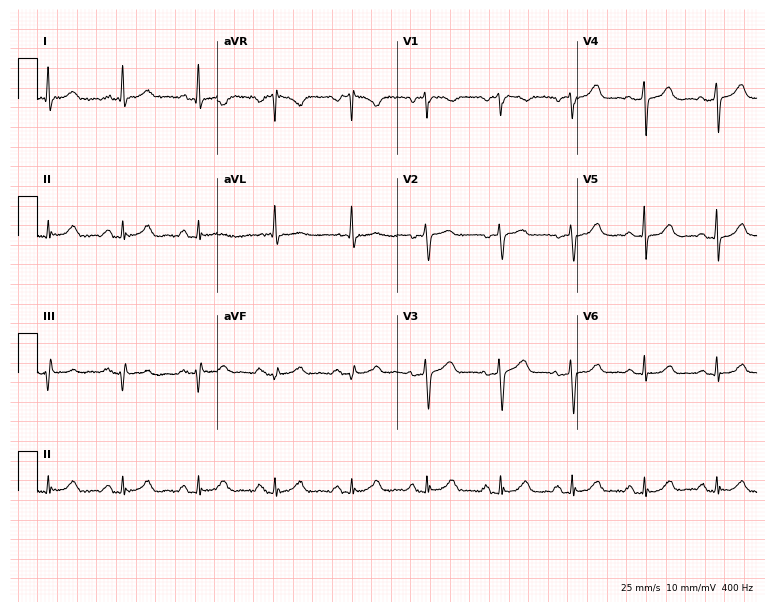
Resting 12-lead electrocardiogram (7.3-second recording at 400 Hz). Patient: a 64-year-old female. Read as a normal ECG.